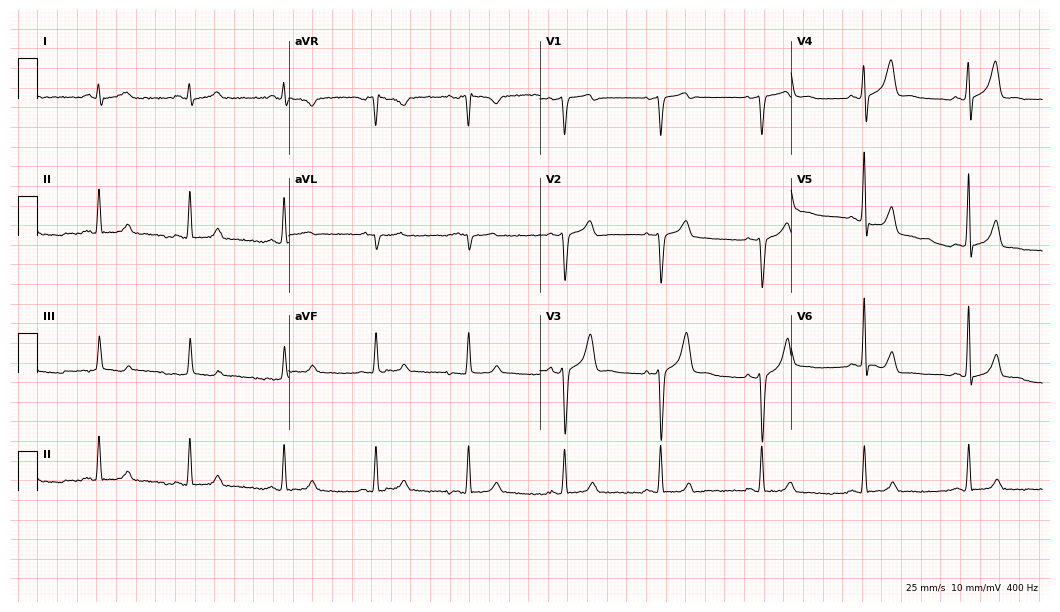
12-lead ECG from a man, 61 years old. Screened for six findings — first-degree AV block, right bundle branch block (RBBB), left bundle branch block (LBBB), sinus bradycardia, atrial fibrillation (AF), sinus tachycardia — none is recorded. Only these six findings were labelled.